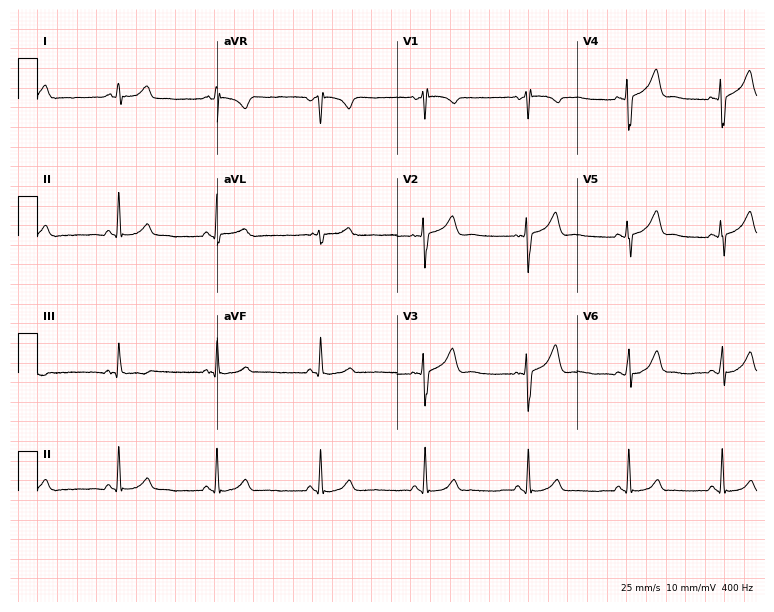
Standard 12-lead ECG recorded from a female patient, 36 years old (7.3-second recording at 400 Hz). None of these six findings is recorded: first-degree AV block, right bundle branch block (RBBB), left bundle branch block (LBBB), sinus bradycardia, atrial fibrillation (AF), sinus tachycardia. Only these six findings were labelled.